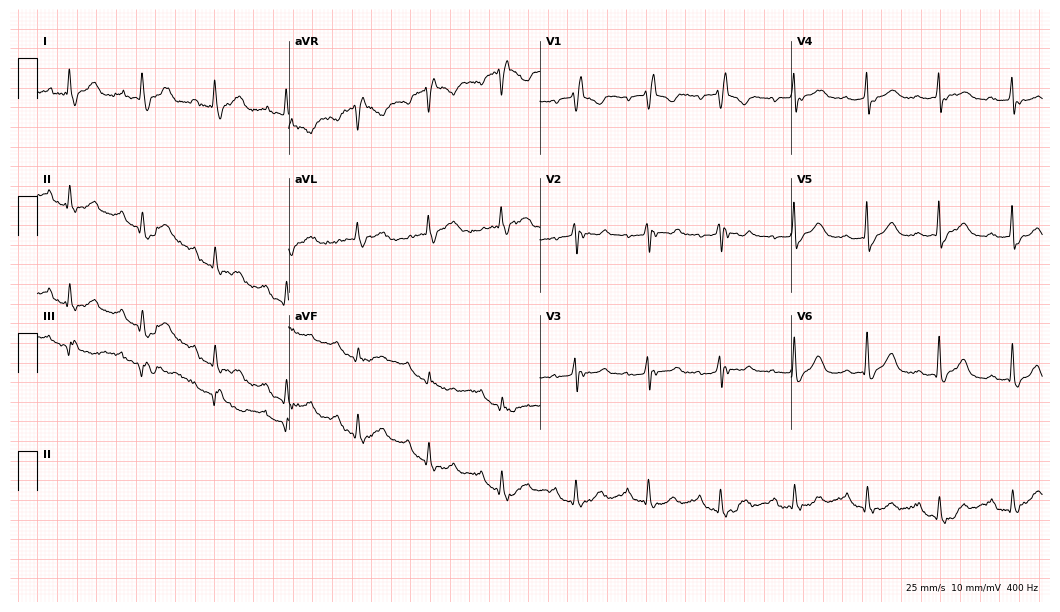
ECG — a 63-year-old female. Findings include right bundle branch block (RBBB).